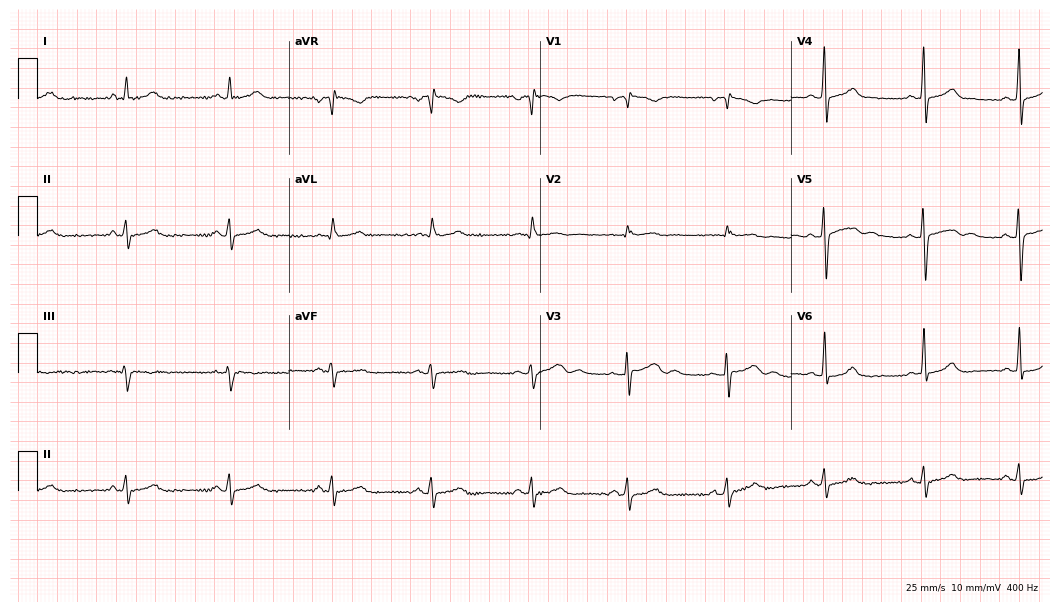
Electrocardiogram, a 45-year-old female. Overall reading on record: normal ECG.